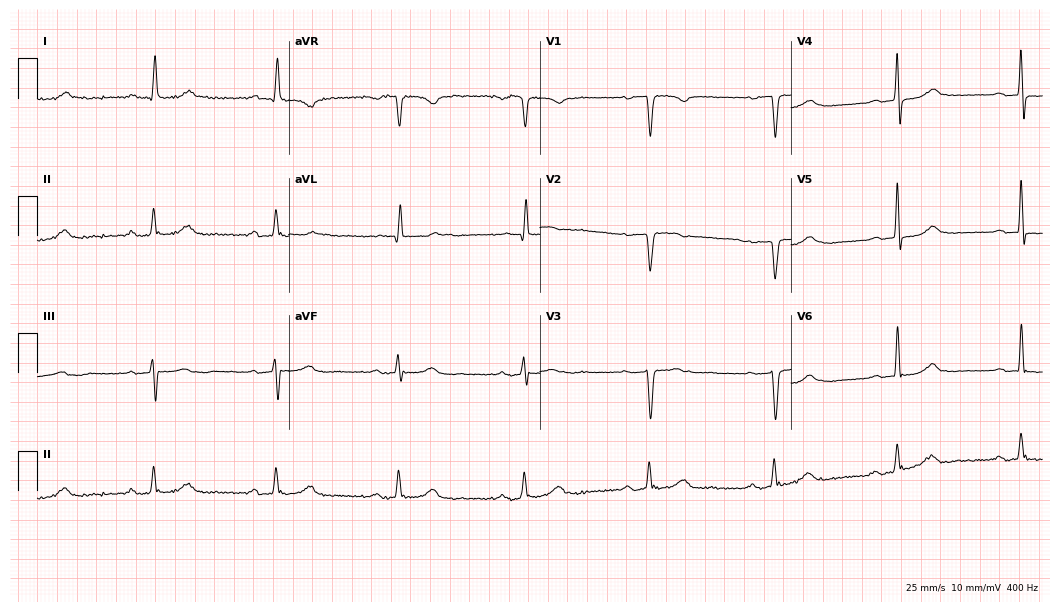
Resting 12-lead electrocardiogram. Patient: a woman, 61 years old. The tracing shows first-degree AV block, sinus bradycardia (a sinus rate of 50 beats per minute or less).